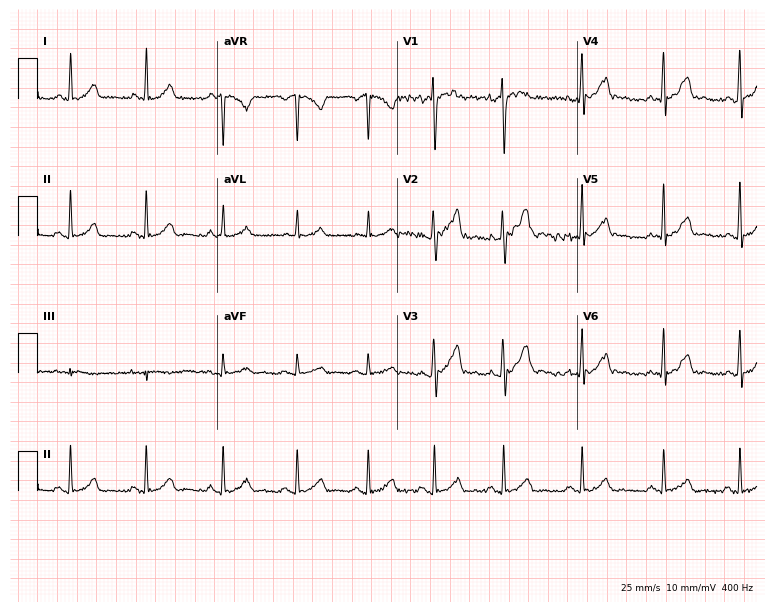
12-lead ECG (7.3-second recording at 400 Hz) from an 18-year-old man. Labelled as a normal ECG.